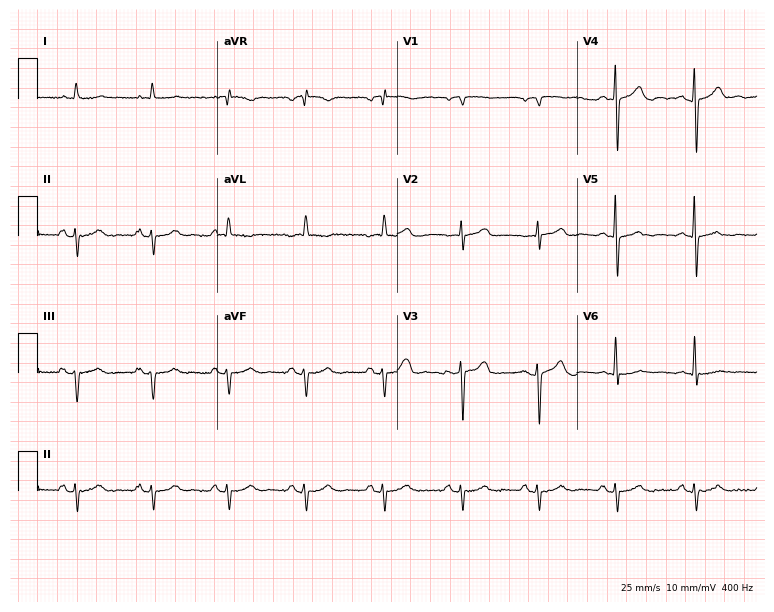
Resting 12-lead electrocardiogram (7.3-second recording at 400 Hz). Patient: a 74-year-old male. None of these six findings is recorded: first-degree AV block, right bundle branch block (RBBB), left bundle branch block (LBBB), sinus bradycardia, atrial fibrillation (AF), sinus tachycardia.